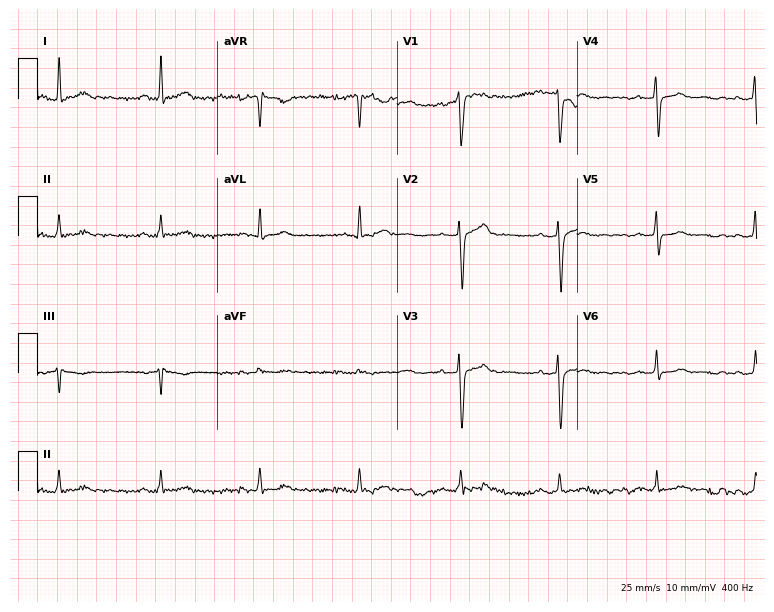
Electrocardiogram (7.3-second recording at 400 Hz), a male, 31 years old. Of the six screened findings (first-degree AV block, right bundle branch block, left bundle branch block, sinus bradycardia, atrial fibrillation, sinus tachycardia), none is recorded. Only these six findings were labelled.